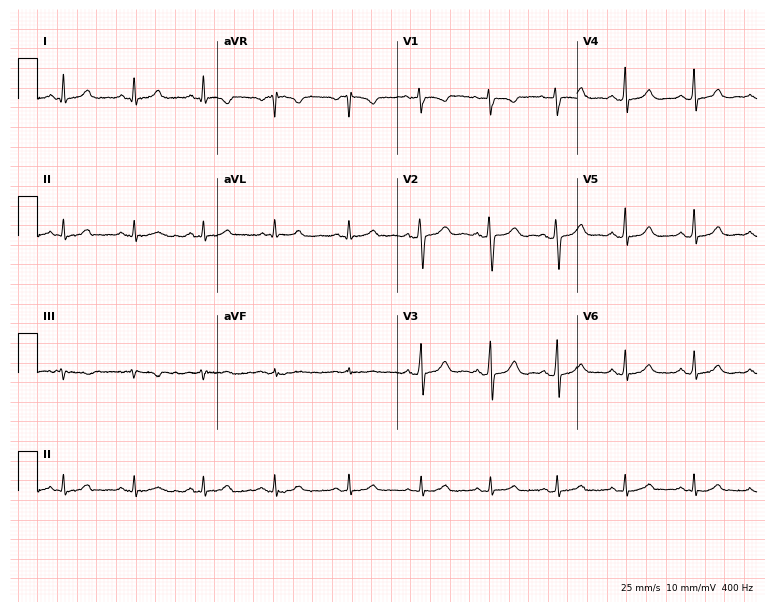
12-lead ECG from a female, 34 years old. Recorded interpretation: within normal limits.